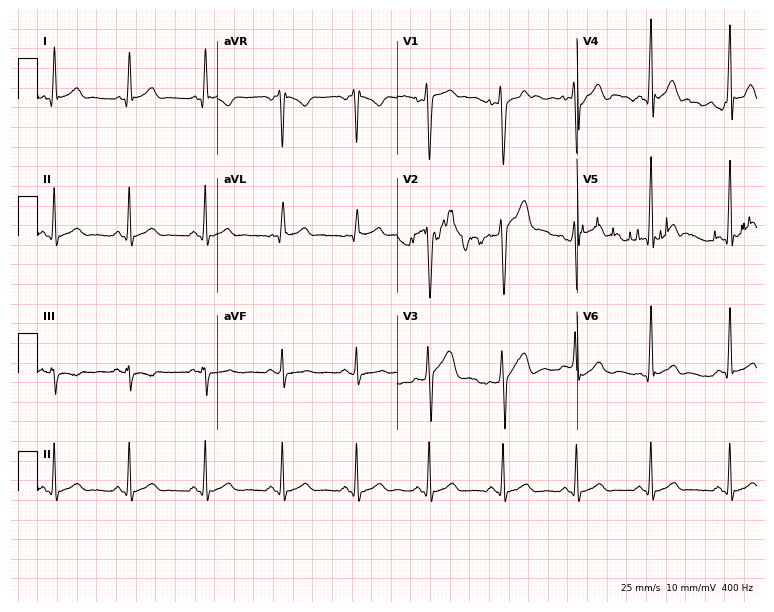
Electrocardiogram (7.3-second recording at 400 Hz), a 32-year-old man. Overall reading on record: normal ECG.